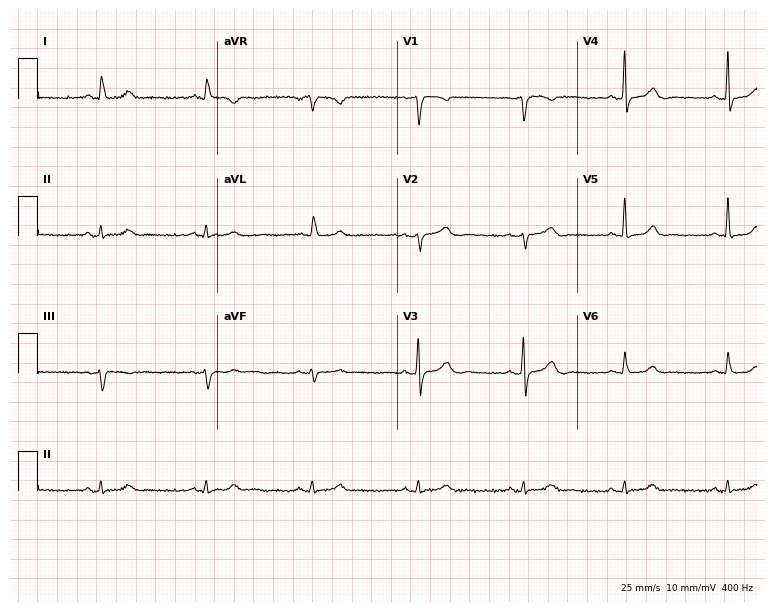
Resting 12-lead electrocardiogram. Patient: a 66-year-old woman. None of these six findings is recorded: first-degree AV block, right bundle branch block (RBBB), left bundle branch block (LBBB), sinus bradycardia, atrial fibrillation (AF), sinus tachycardia.